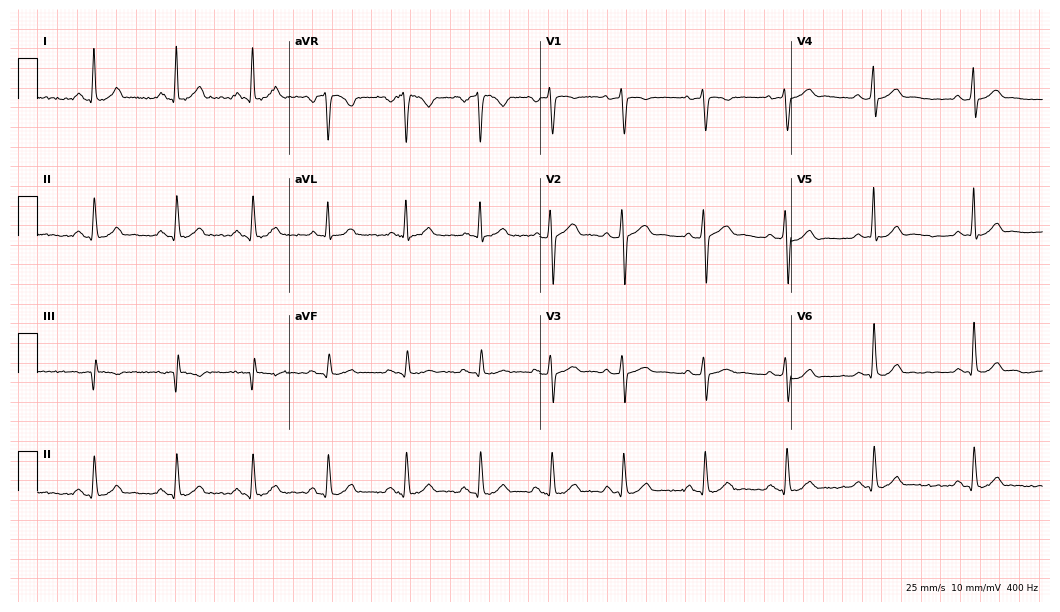
Standard 12-lead ECG recorded from a 24-year-old male patient. Read as a normal ECG.